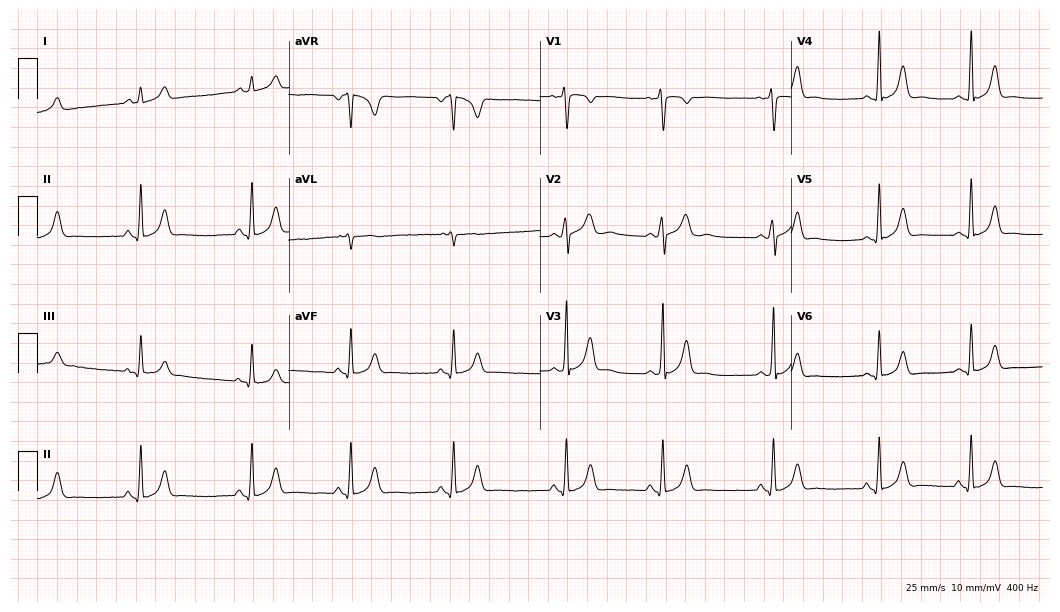
Resting 12-lead electrocardiogram (10.2-second recording at 400 Hz). Patient: a female, 19 years old. Read as a normal ECG.